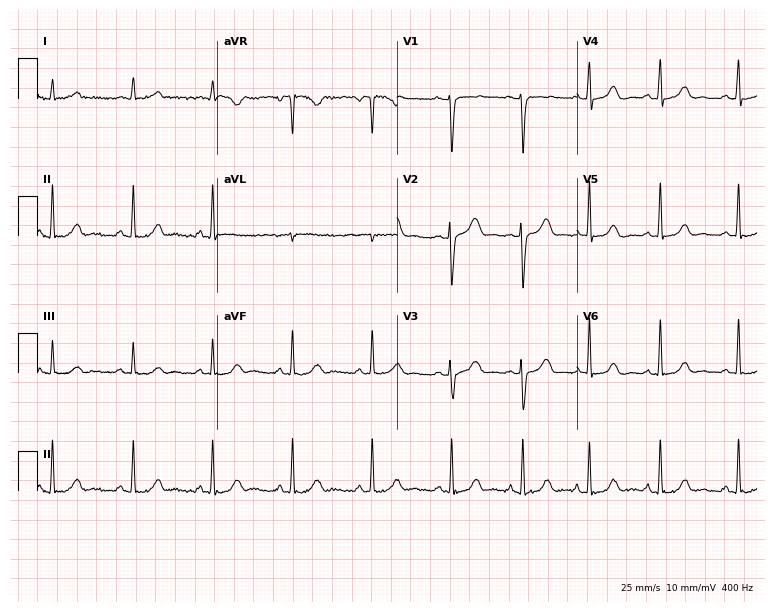
Resting 12-lead electrocardiogram (7.3-second recording at 400 Hz). Patient: a female, 28 years old. Read as a normal ECG.